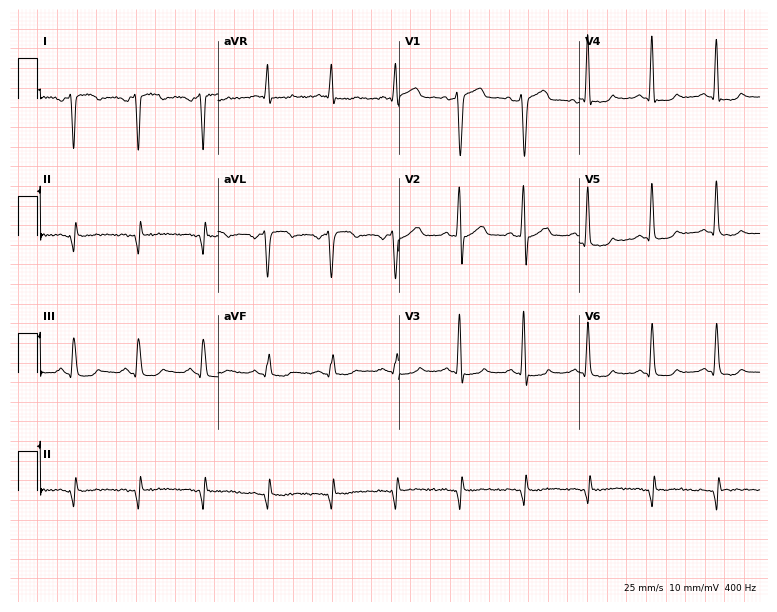
Resting 12-lead electrocardiogram. Patient: a 61-year-old male. None of these six findings is recorded: first-degree AV block, right bundle branch block, left bundle branch block, sinus bradycardia, atrial fibrillation, sinus tachycardia. Other findings, if any, are not listed.